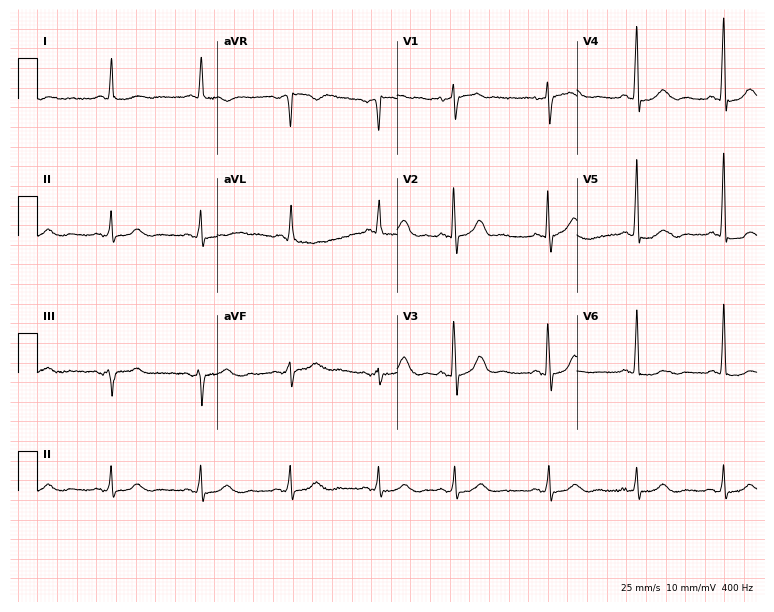
ECG (7.3-second recording at 400 Hz) — a 77-year-old woman. Labelled as a normal ECG.